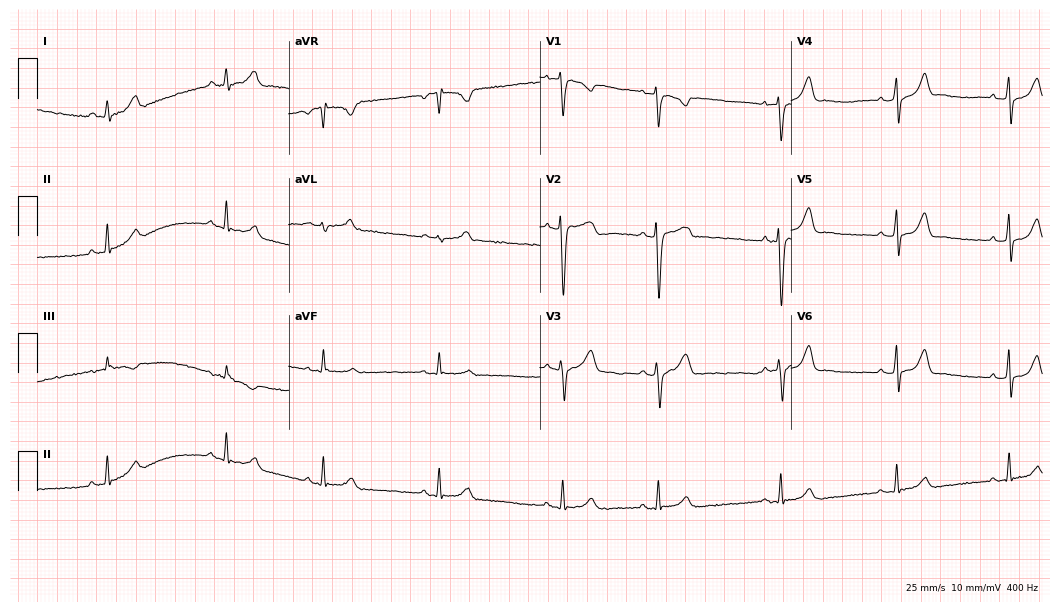
Standard 12-lead ECG recorded from a 35-year-old male patient. Read as a normal ECG.